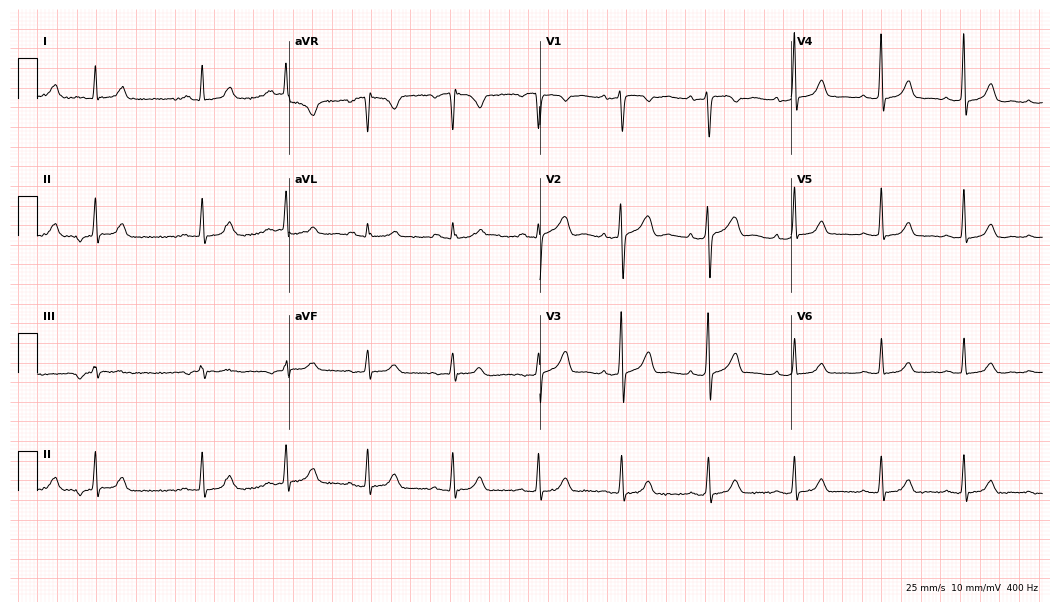
Electrocardiogram (10.2-second recording at 400 Hz), a 44-year-old woman. Overall reading on record: normal ECG.